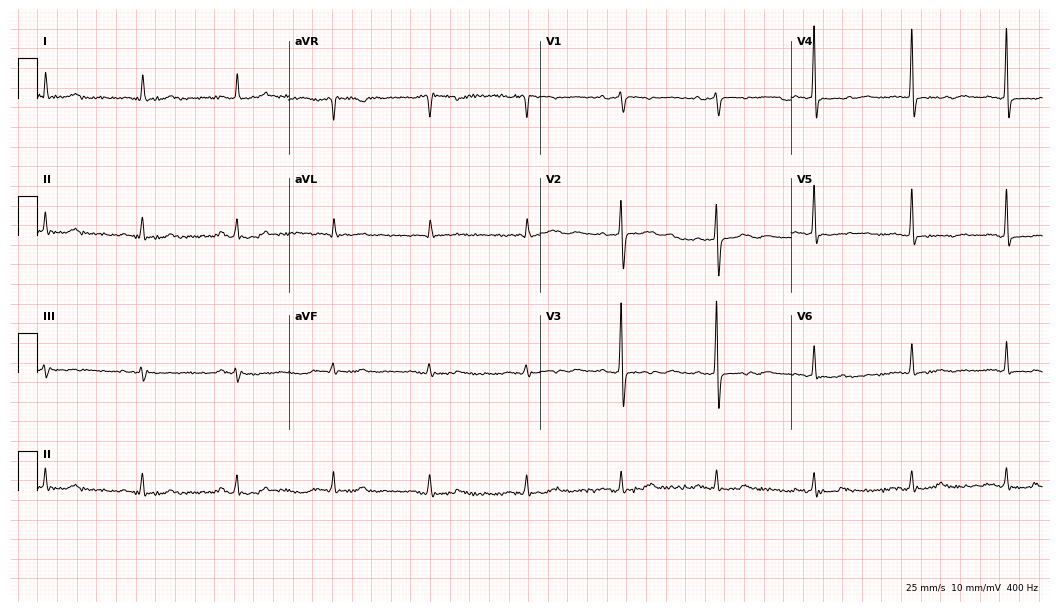
12-lead ECG from a female, 84 years old (10.2-second recording at 400 Hz). No first-degree AV block, right bundle branch block, left bundle branch block, sinus bradycardia, atrial fibrillation or sinus tachycardia recorded for this tracing.